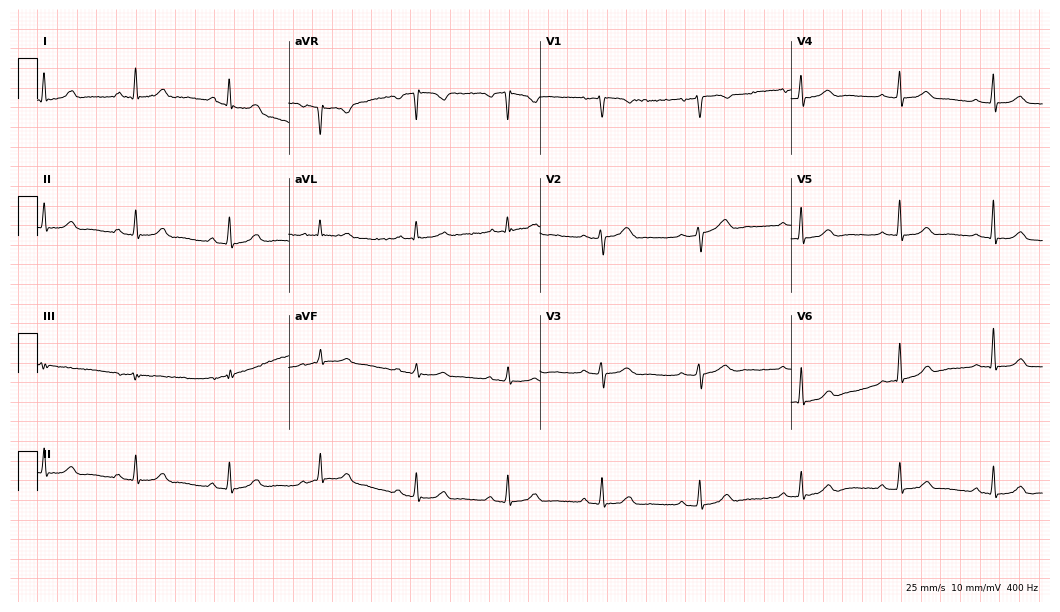
Standard 12-lead ECG recorded from a 56-year-old female patient (10.2-second recording at 400 Hz). Read as a normal ECG.